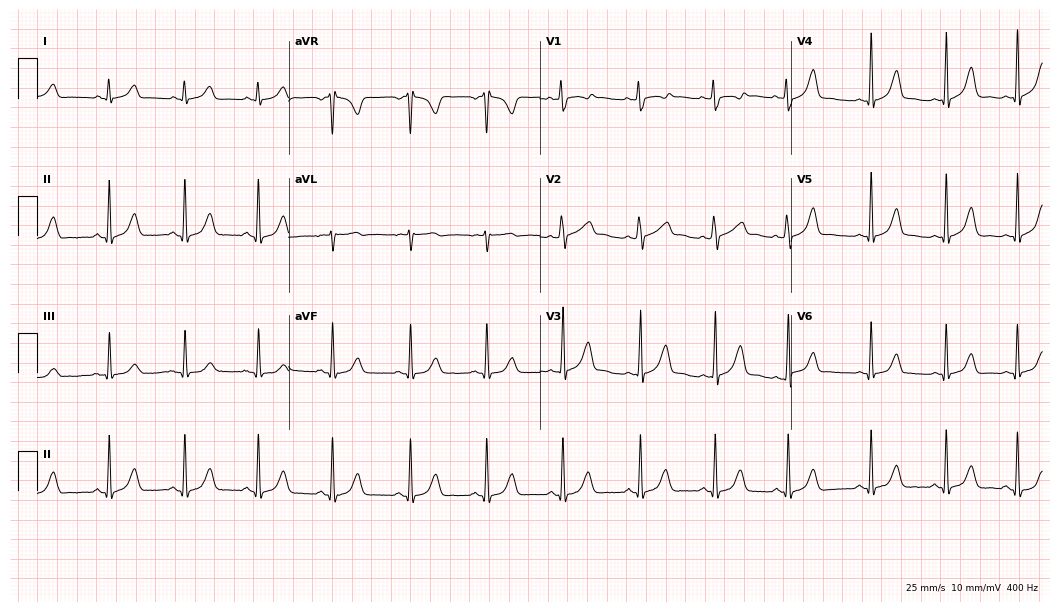
ECG (10.2-second recording at 400 Hz) — a 17-year-old female patient. Labelled as a normal ECG.